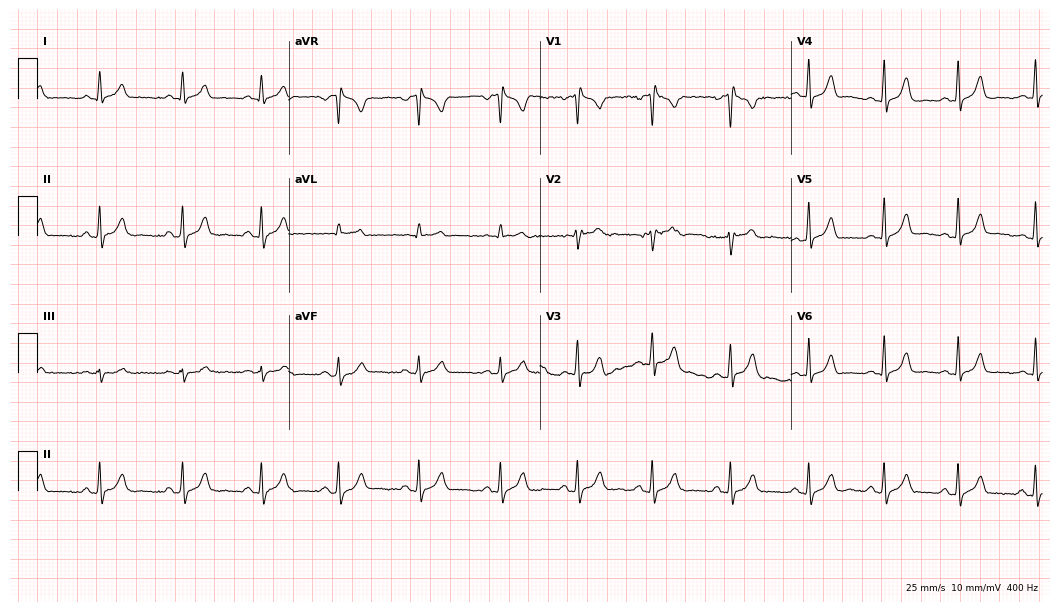
Resting 12-lead electrocardiogram (10.2-second recording at 400 Hz). Patient: a 23-year-old female. Read as a normal ECG.